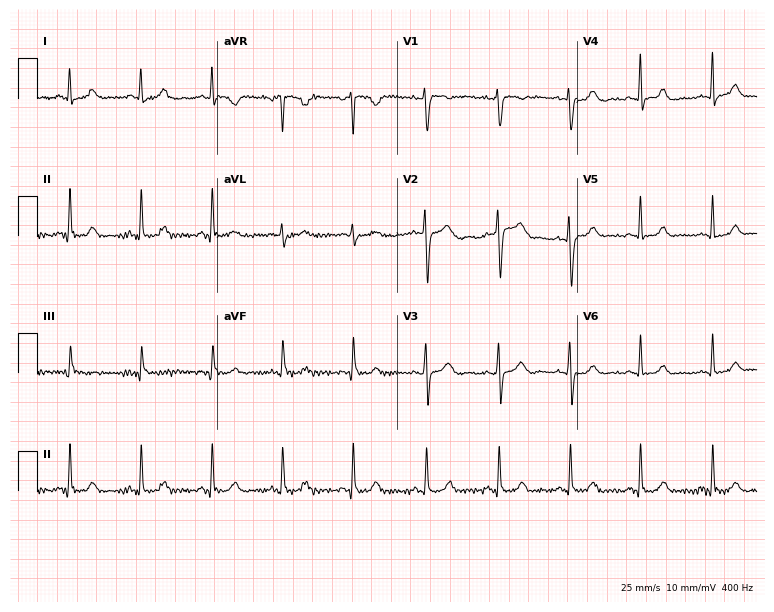
Electrocardiogram, a 40-year-old woman. Of the six screened findings (first-degree AV block, right bundle branch block, left bundle branch block, sinus bradycardia, atrial fibrillation, sinus tachycardia), none is recorded. Findings outside these six are not listed.